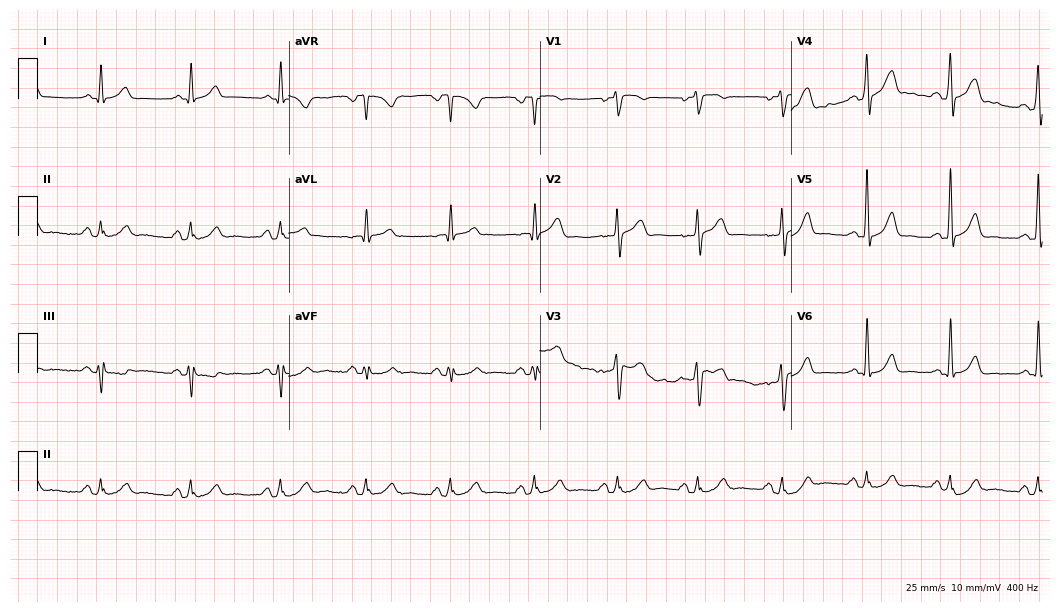
12-lead ECG from a 40-year-old man. Labelled as a normal ECG.